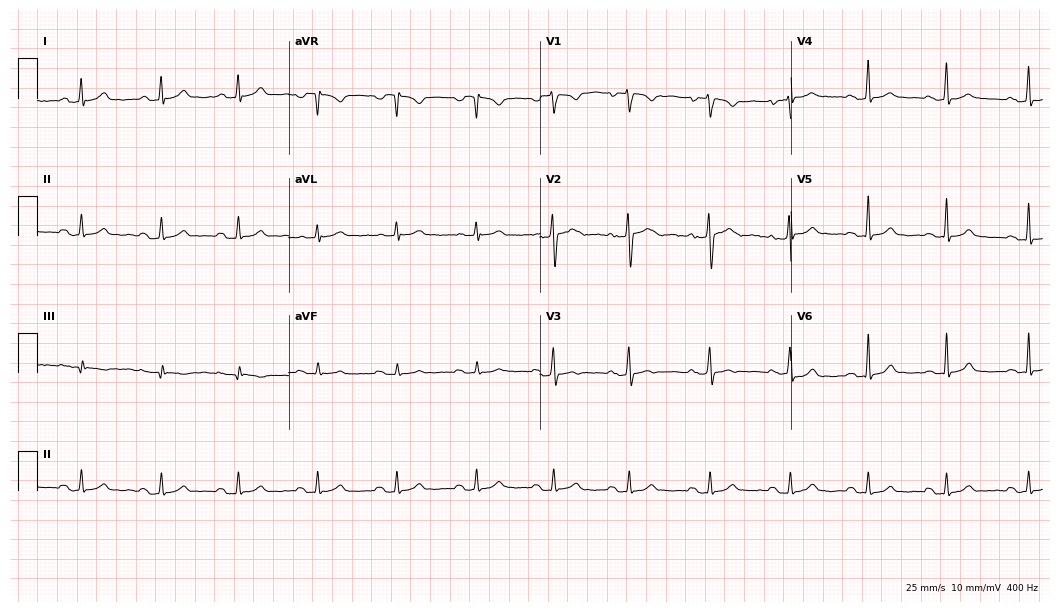
Standard 12-lead ECG recorded from a female, 37 years old. Read as a normal ECG.